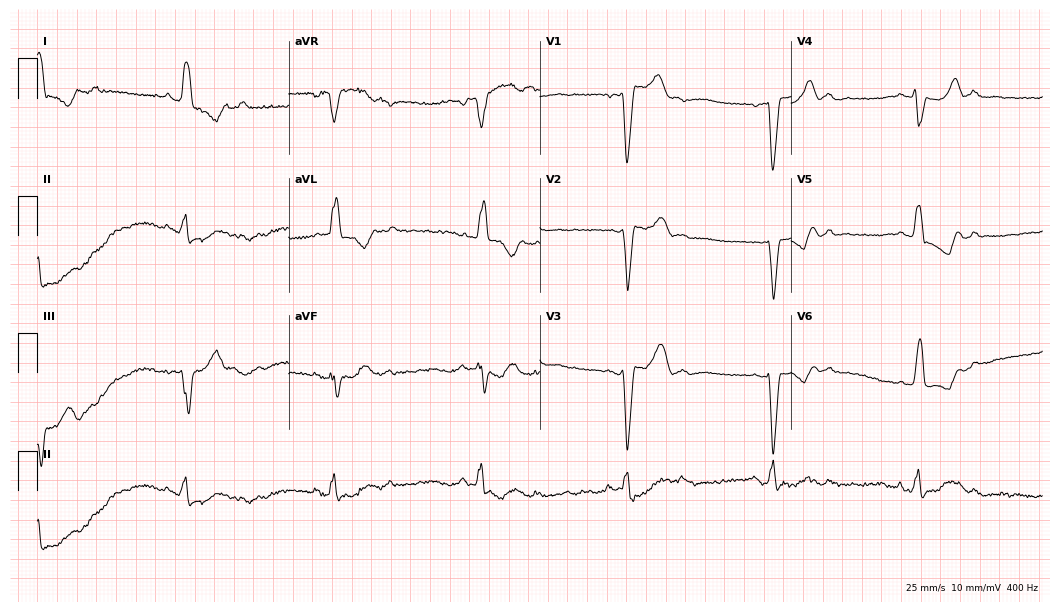
Resting 12-lead electrocardiogram. Patient: an 83-year-old female. None of these six findings is recorded: first-degree AV block, right bundle branch block, left bundle branch block, sinus bradycardia, atrial fibrillation, sinus tachycardia.